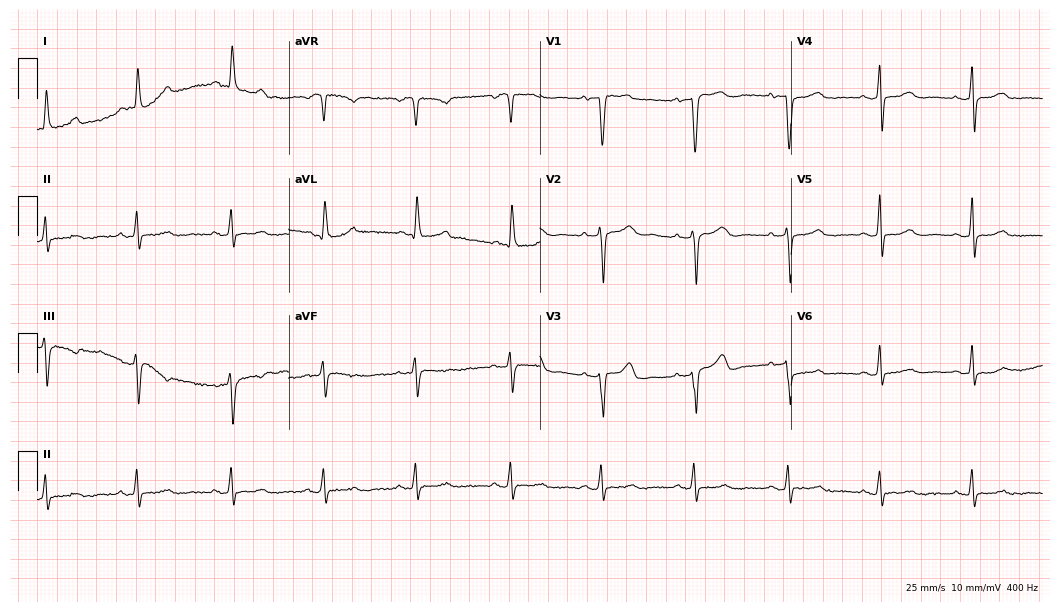
Standard 12-lead ECG recorded from a woman, 47 years old (10.2-second recording at 400 Hz). None of these six findings is recorded: first-degree AV block, right bundle branch block, left bundle branch block, sinus bradycardia, atrial fibrillation, sinus tachycardia.